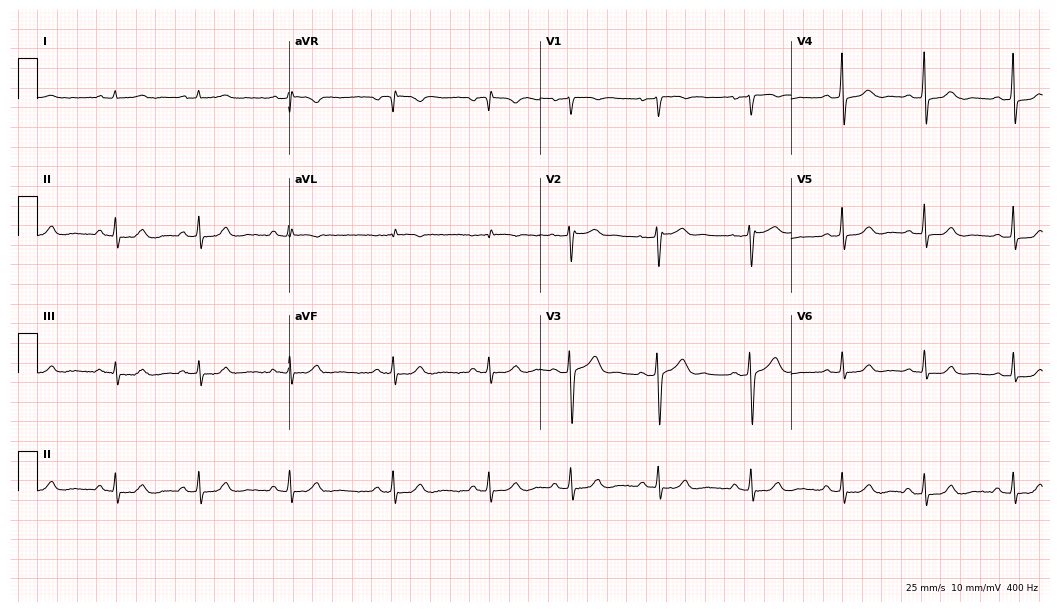
ECG (10.2-second recording at 400 Hz) — a 40-year-old female. Labelled as a normal ECG.